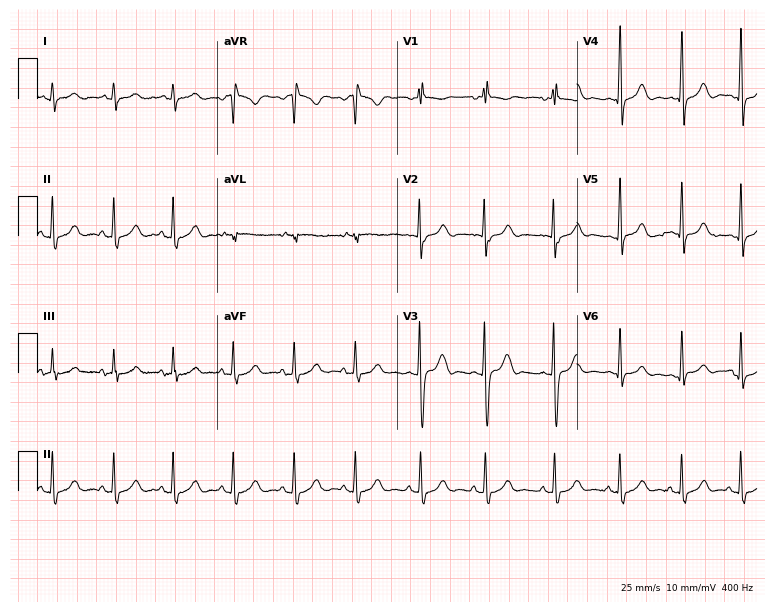
12-lead ECG from a 22-year-old female patient (7.3-second recording at 400 Hz). No first-degree AV block, right bundle branch block, left bundle branch block, sinus bradycardia, atrial fibrillation or sinus tachycardia recorded for this tracing.